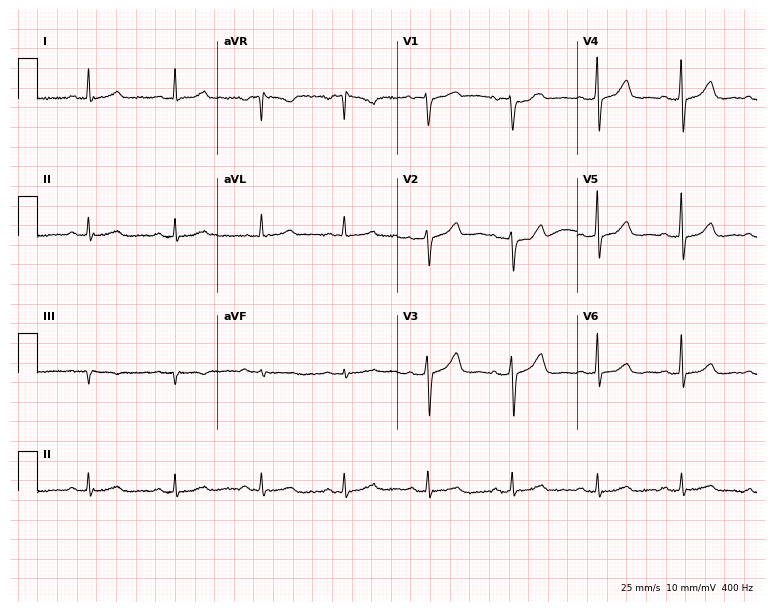
12-lead ECG from a woman, 61 years old (7.3-second recording at 400 Hz). No first-degree AV block, right bundle branch block, left bundle branch block, sinus bradycardia, atrial fibrillation or sinus tachycardia recorded for this tracing.